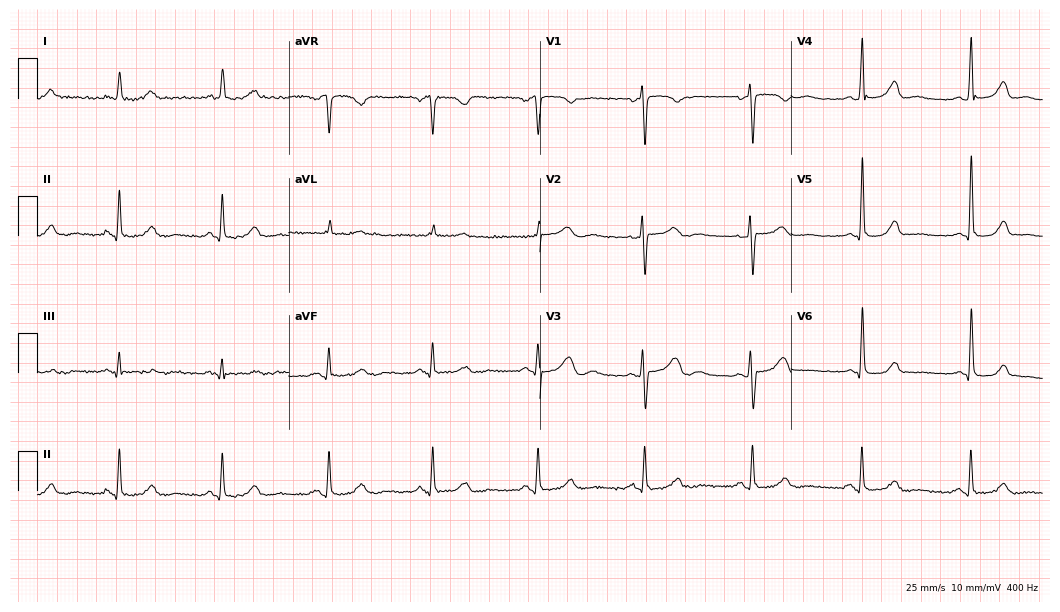
12-lead ECG from a 49-year-old female. No first-degree AV block, right bundle branch block (RBBB), left bundle branch block (LBBB), sinus bradycardia, atrial fibrillation (AF) or sinus tachycardia recorded for this tracing.